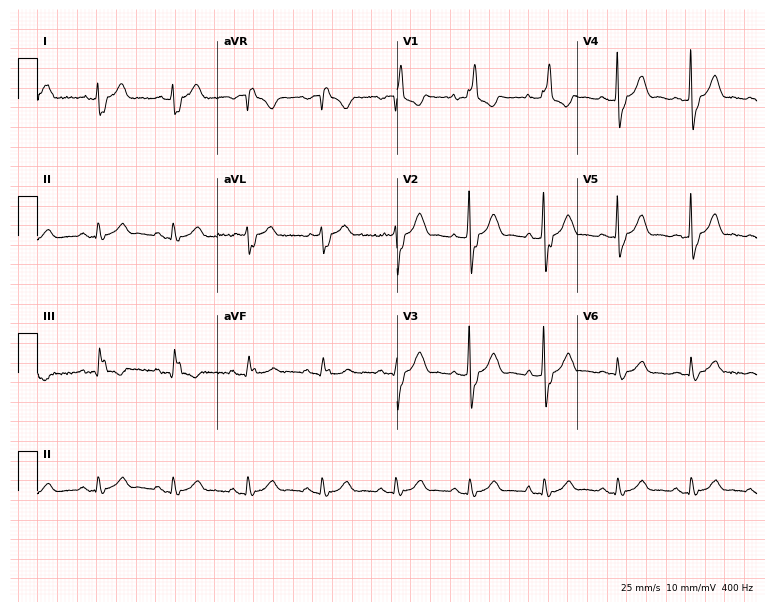
12-lead ECG from a male, 77 years old. Shows right bundle branch block.